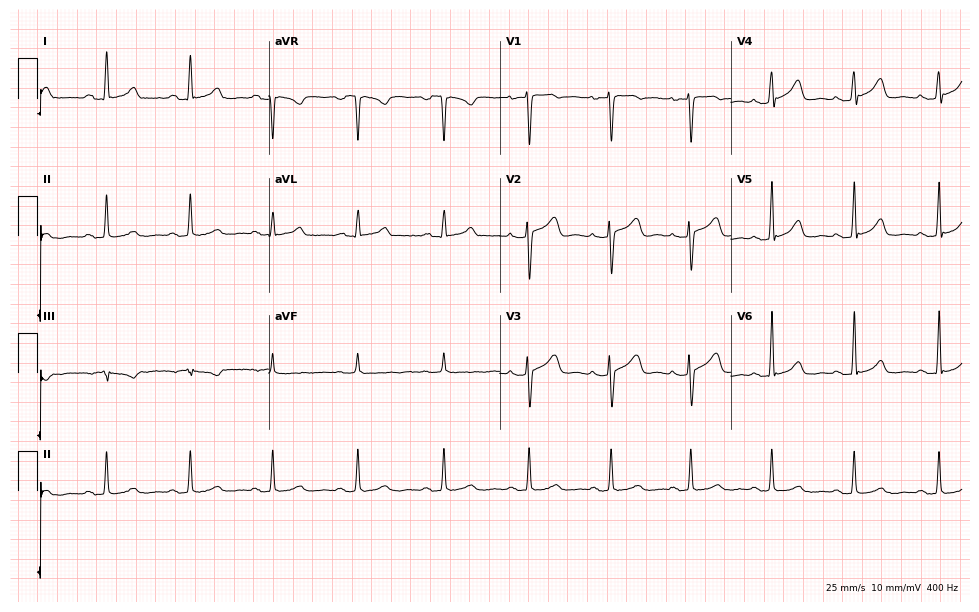
12-lead ECG from a 41-year-old woman. Screened for six findings — first-degree AV block, right bundle branch block, left bundle branch block, sinus bradycardia, atrial fibrillation, sinus tachycardia — none is recorded.